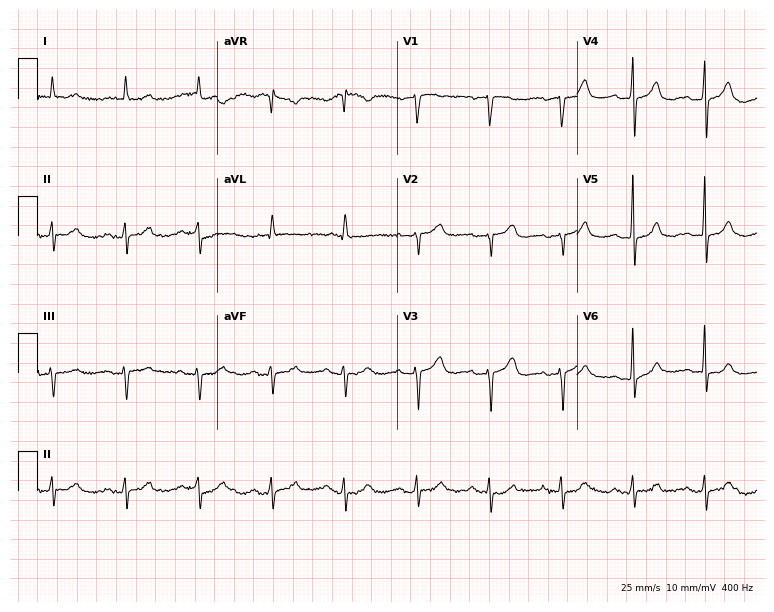
12-lead ECG from a female patient, 61 years old. Screened for six findings — first-degree AV block, right bundle branch block (RBBB), left bundle branch block (LBBB), sinus bradycardia, atrial fibrillation (AF), sinus tachycardia — none is recorded.